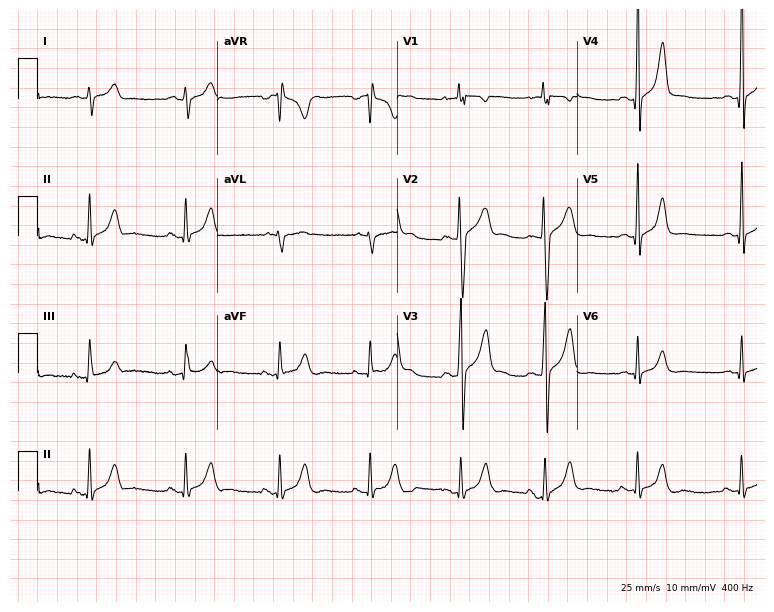
12-lead ECG from a 19-year-old man. Screened for six findings — first-degree AV block, right bundle branch block, left bundle branch block, sinus bradycardia, atrial fibrillation, sinus tachycardia — none is recorded. Only these six findings were labelled.